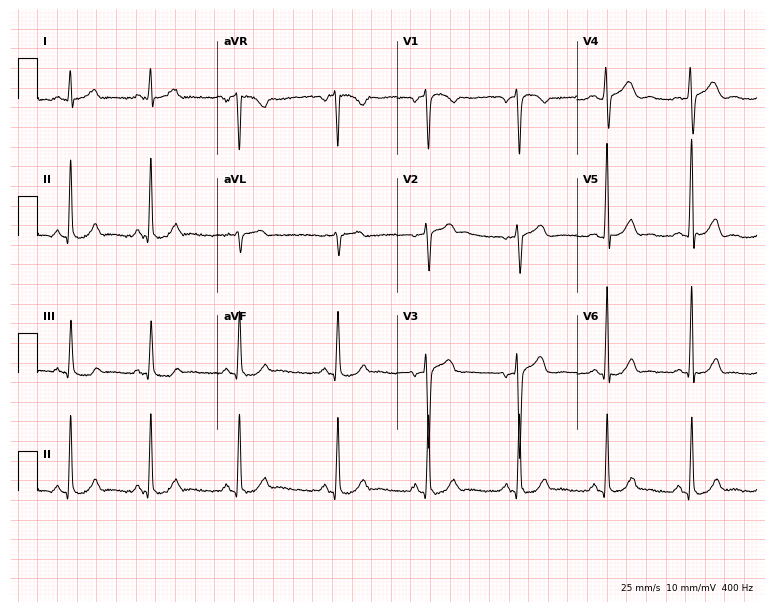
12-lead ECG from a male, 31 years old (7.3-second recording at 400 Hz). Recorded interpretation: within normal limits.